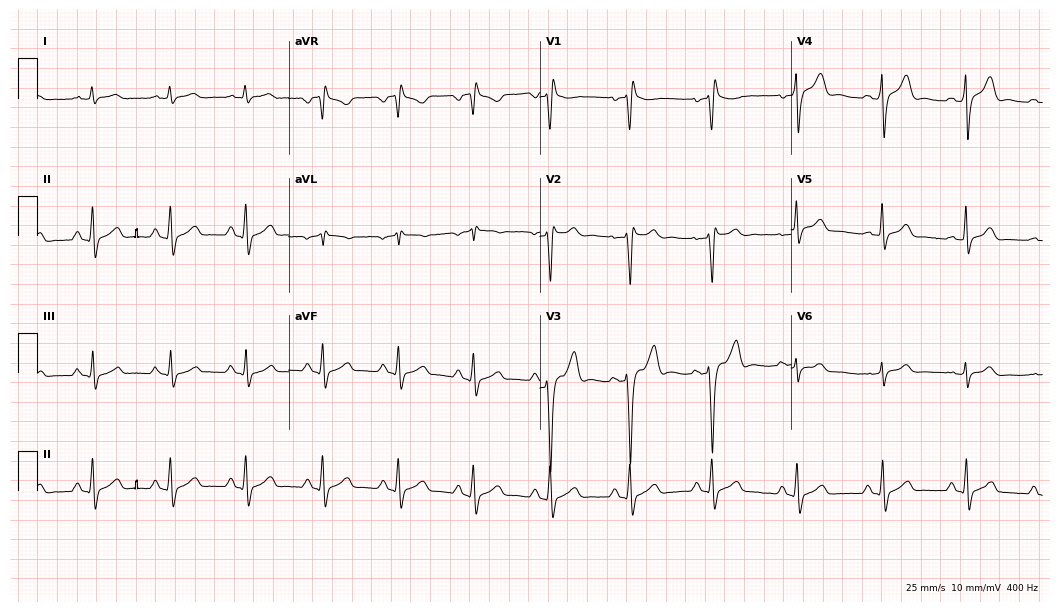
12-lead ECG from a 45-year-old man (10.2-second recording at 400 Hz). No first-degree AV block, right bundle branch block (RBBB), left bundle branch block (LBBB), sinus bradycardia, atrial fibrillation (AF) or sinus tachycardia recorded for this tracing. Only these six findings were labelled.